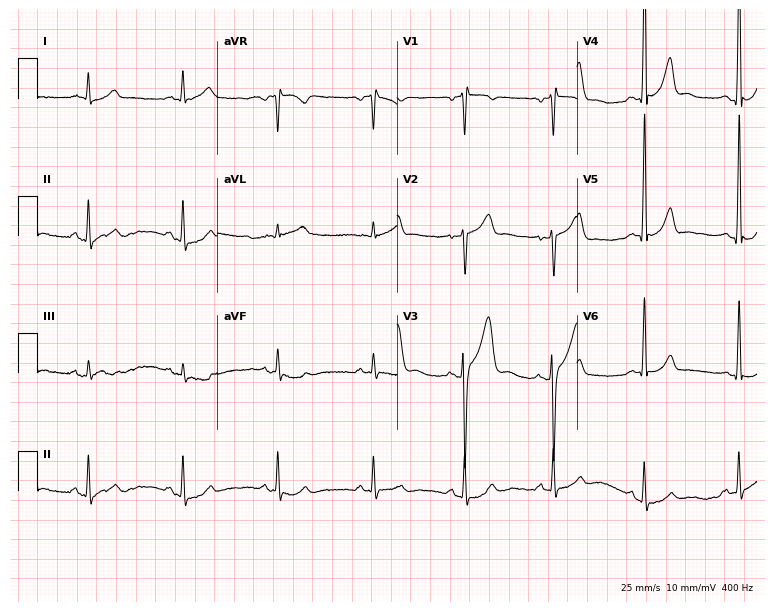
Electrocardiogram (7.3-second recording at 400 Hz), a male, 36 years old. Of the six screened findings (first-degree AV block, right bundle branch block (RBBB), left bundle branch block (LBBB), sinus bradycardia, atrial fibrillation (AF), sinus tachycardia), none is recorded.